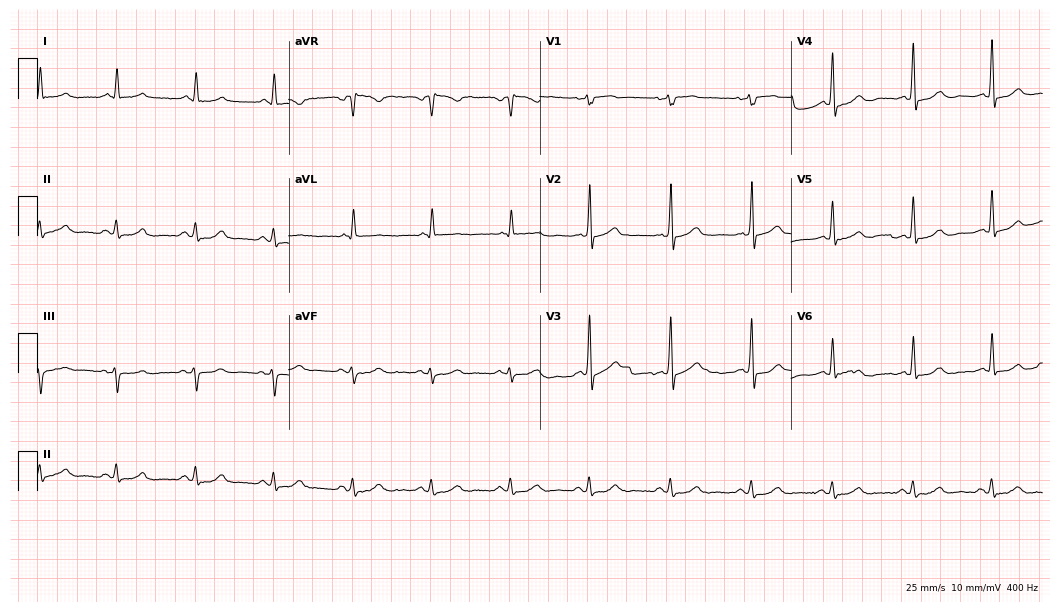
12-lead ECG from a man, 76 years old. Labelled as a normal ECG.